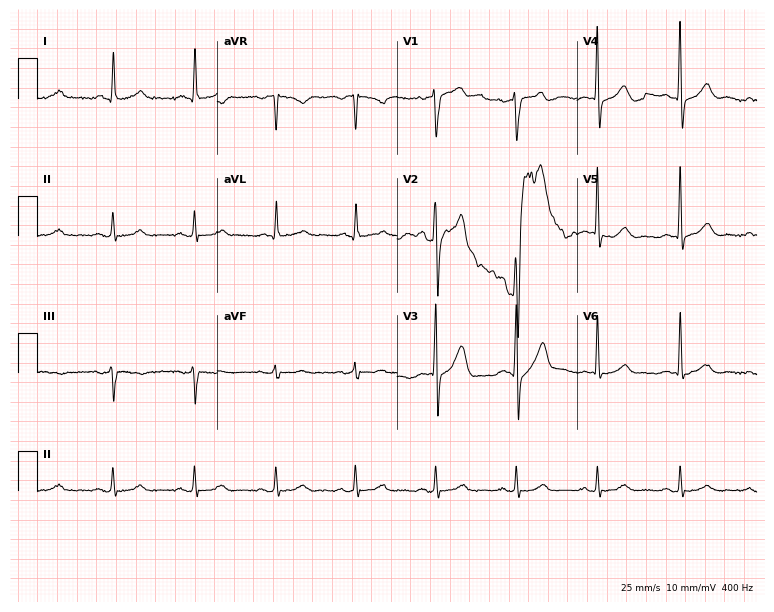
Standard 12-lead ECG recorded from a 53-year-old male patient. Read as a normal ECG.